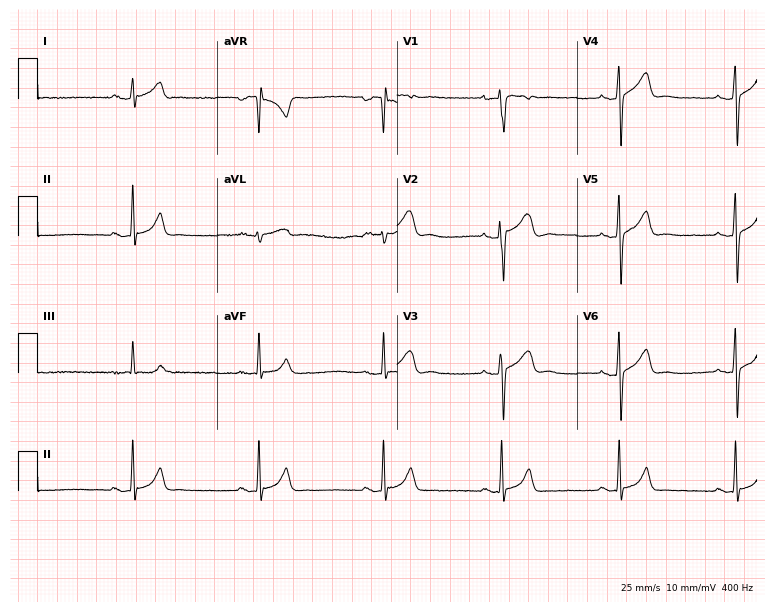
Standard 12-lead ECG recorded from a 17-year-old male patient. None of these six findings is recorded: first-degree AV block, right bundle branch block, left bundle branch block, sinus bradycardia, atrial fibrillation, sinus tachycardia.